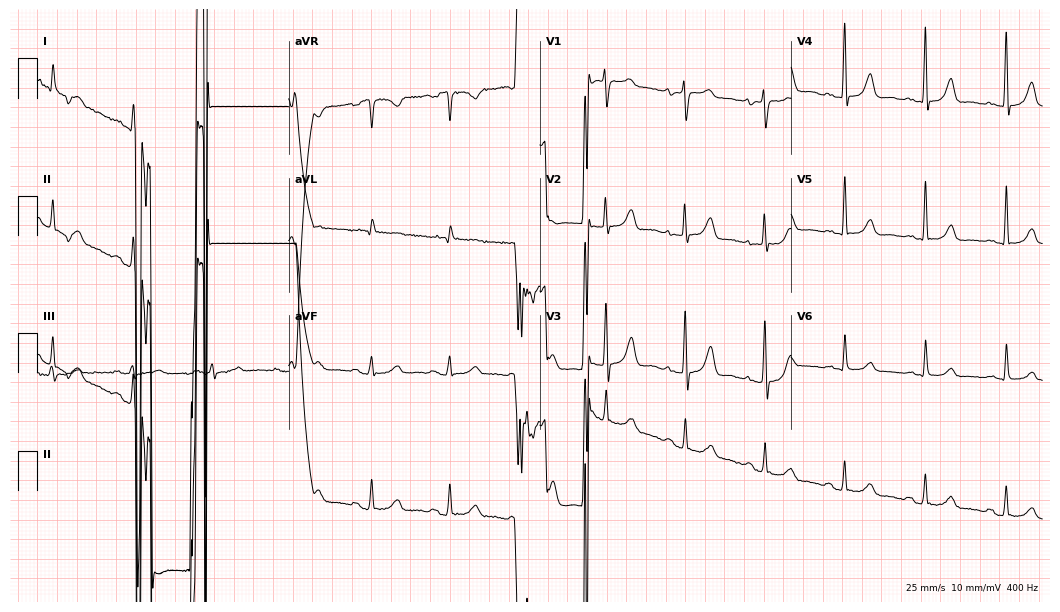
12-lead ECG (10.2-second recording at 400 Hz) from a male patient, 85 years old. Screened for six findings — first-degree AV block, right bundle branch block, left bundle branch block, sinus bradycardia, atrial fibrillation, sinus tachycardia — none is recorded. Findings outside these six are not listed.